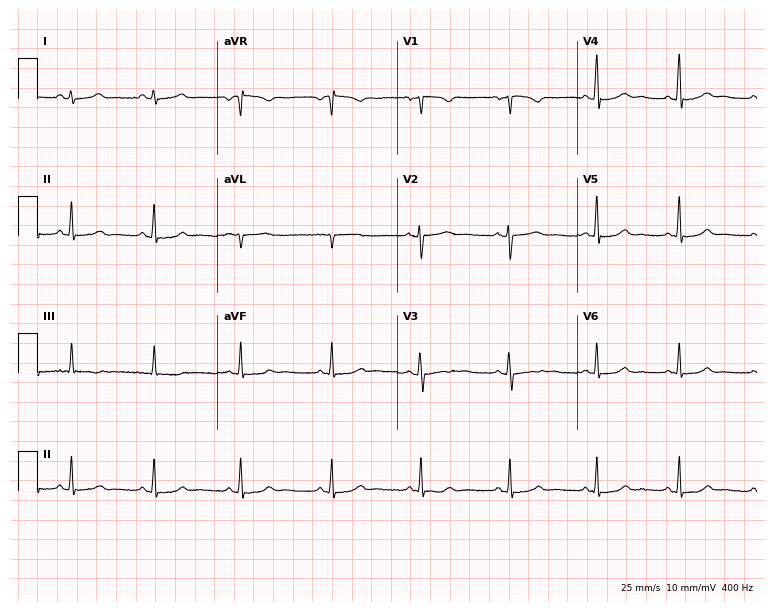
Electrocardiogram (7.3-second recording at 400 Hz), a 19-year-old female patient. Overall reading on record: normal ECG.